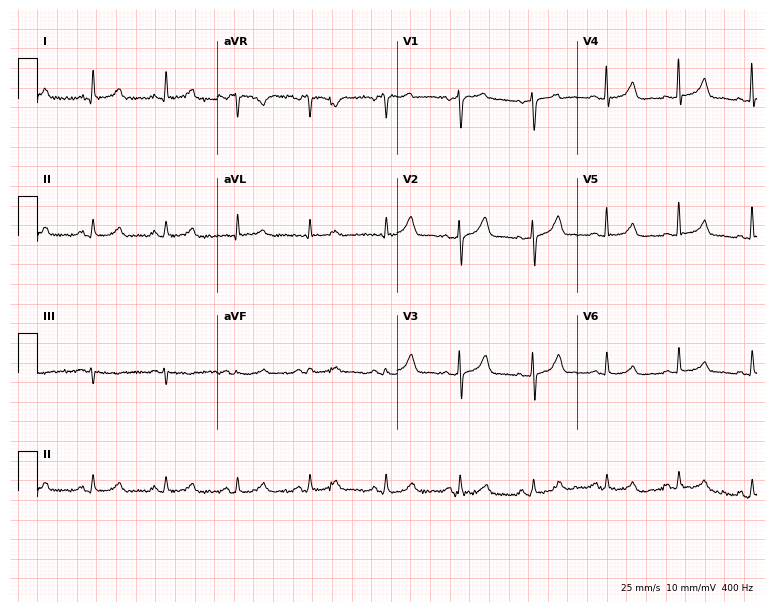
Standard 12-lead ECG recorded from a female, 60 years old. Read as a normal ECG.